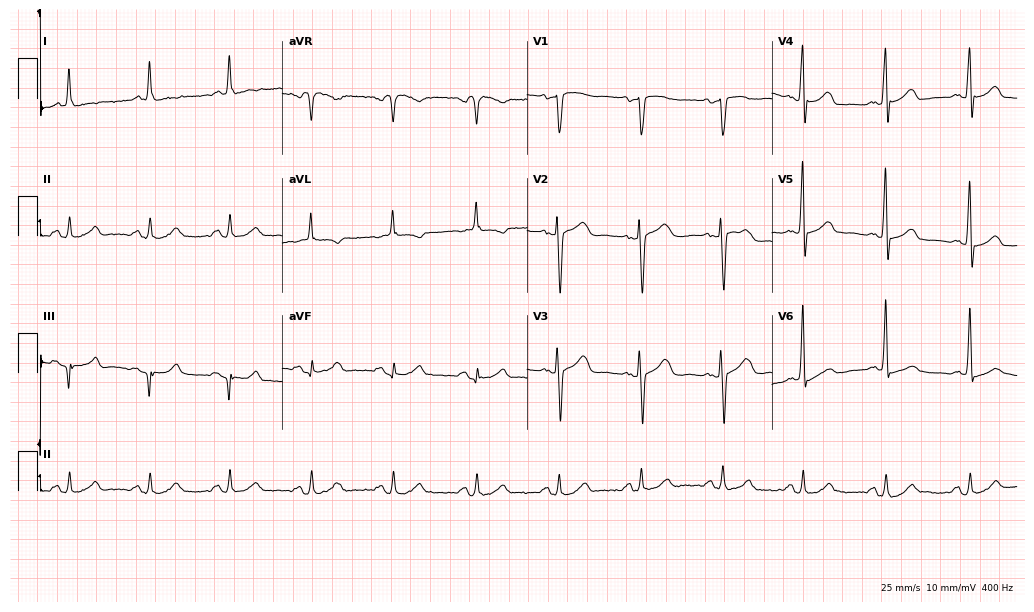
ECG — a man, 79 years old. Labelled as a normal ECG.